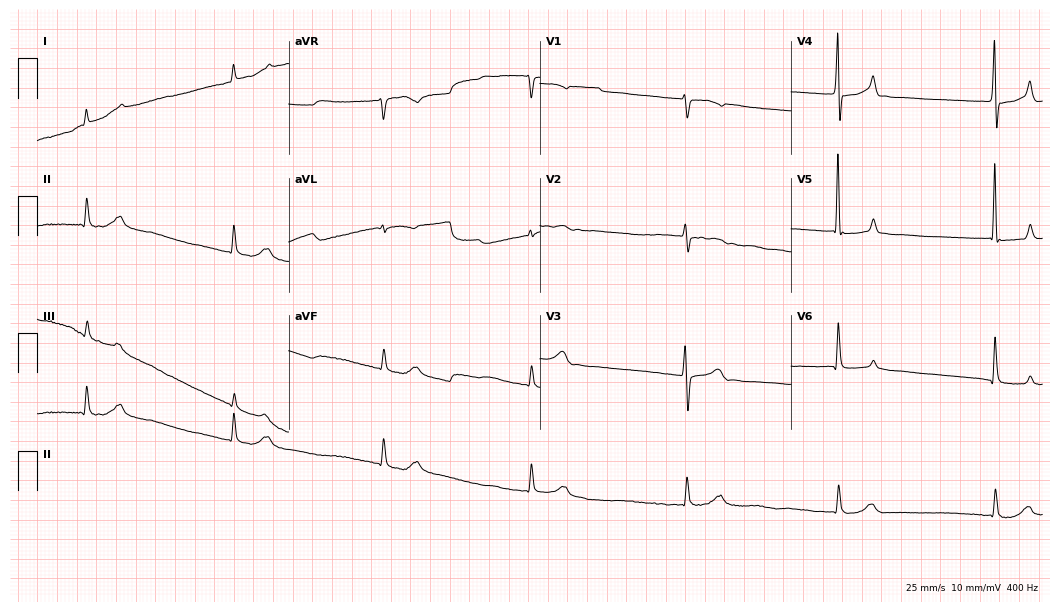
ECG (10.2-second recording at 400 Hz) — a female, 76 years old. Screened for six findings — first-degree AV block, right bundle branch block (RBBB), left bundle branch block (LBBB), sinus bradycardia, atrial fibrillation (AF), sinus tachycardia — none is recorded. Findings outside these six are not listed.